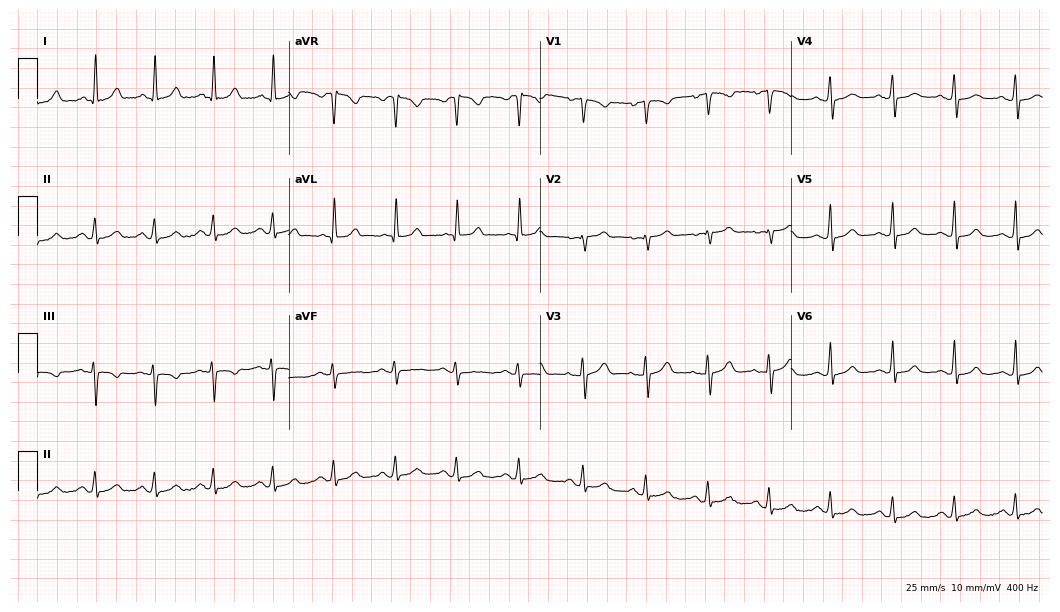
ECG (10.2-second recording at 400 Hz) — a woman, 36 years old. Labelled as a normal ECG.